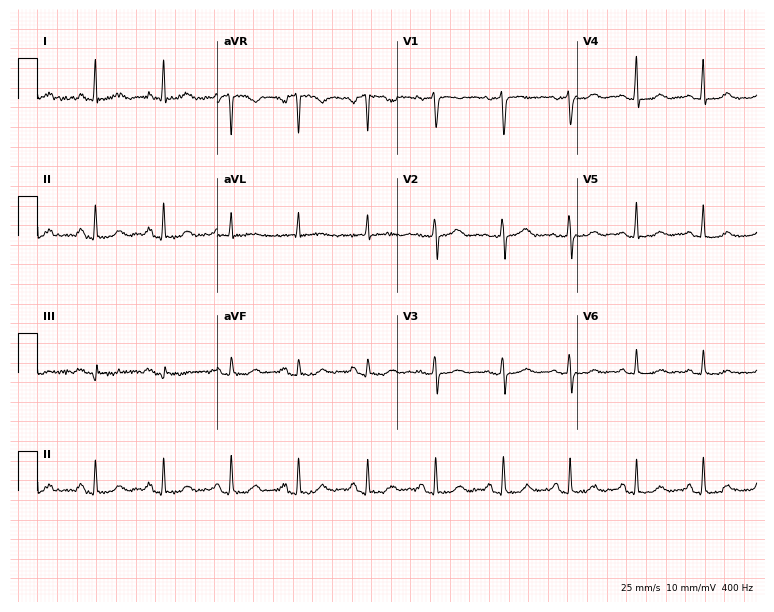
Electrocardiogram (7.3-second recording at 400 Hz), a woman, 63 years old. Overall reading on record: normal ECG.